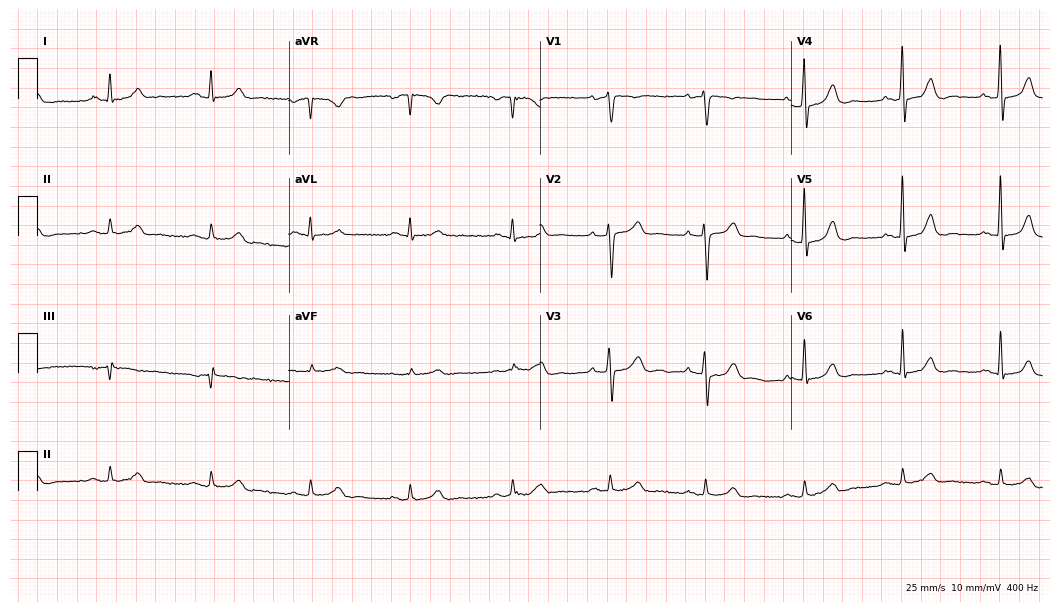
ECG (10.2-second recording at 400 Hz) — a male, 72 years old. Labelled as a normal ECG.